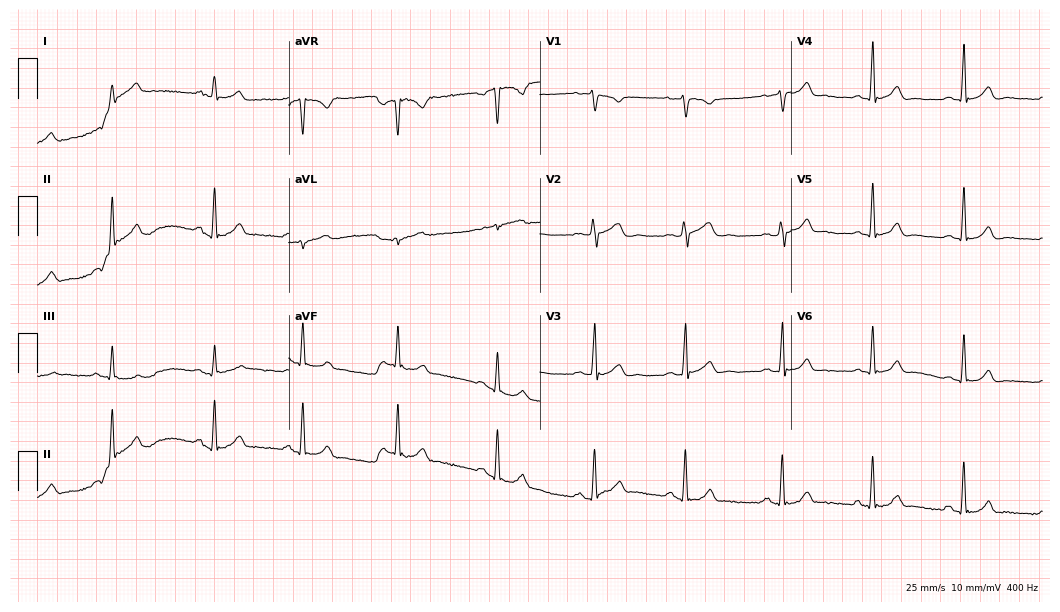
Electrocardiogram (10.2-second recording at 400 Hz), a 22-year-old female patient. Overall reading on record: normal ECG.